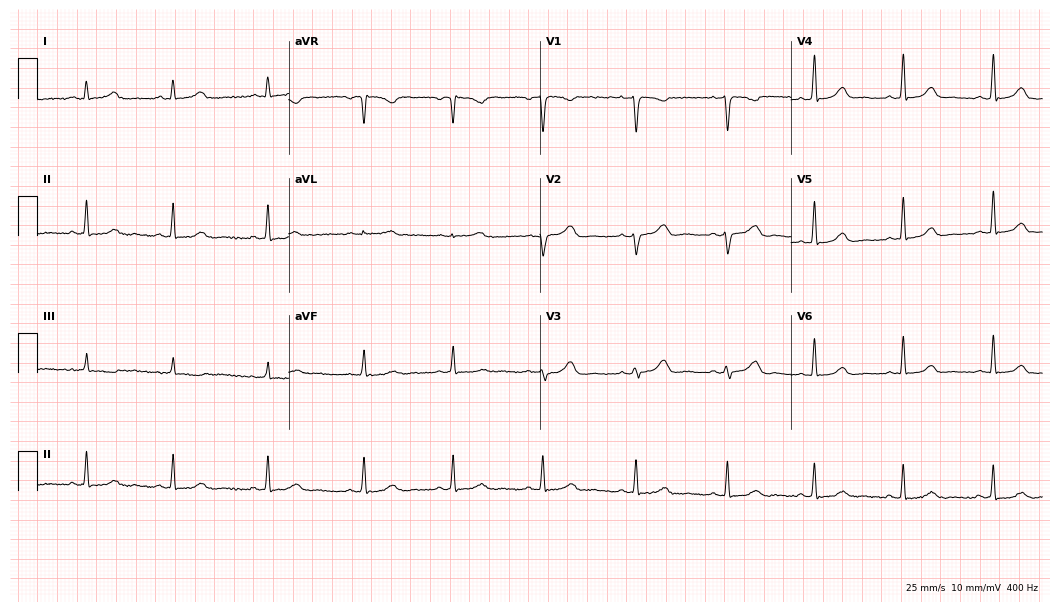
Electrocardiogram, a 36-year-old woman. Overall reading on record: normal ECG.